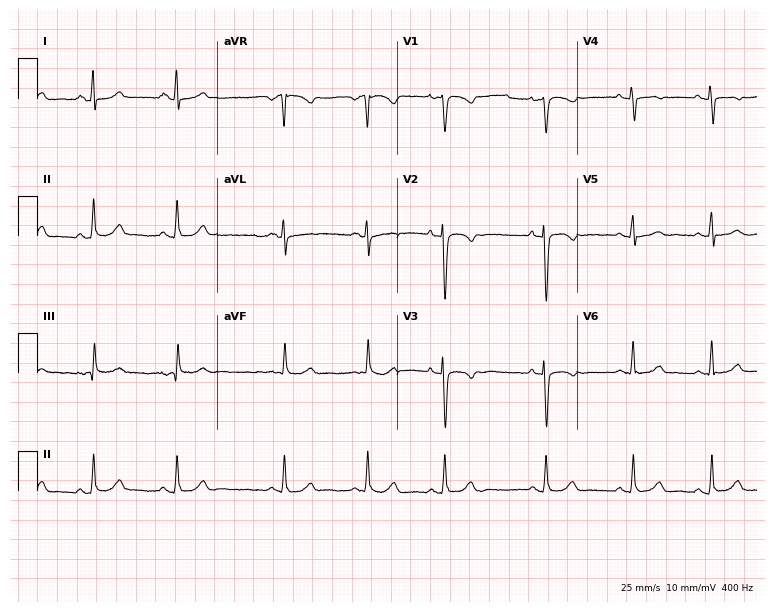
12-lead ECG from a 22-year-old female patient. Recorded interpretation: within normal limits.